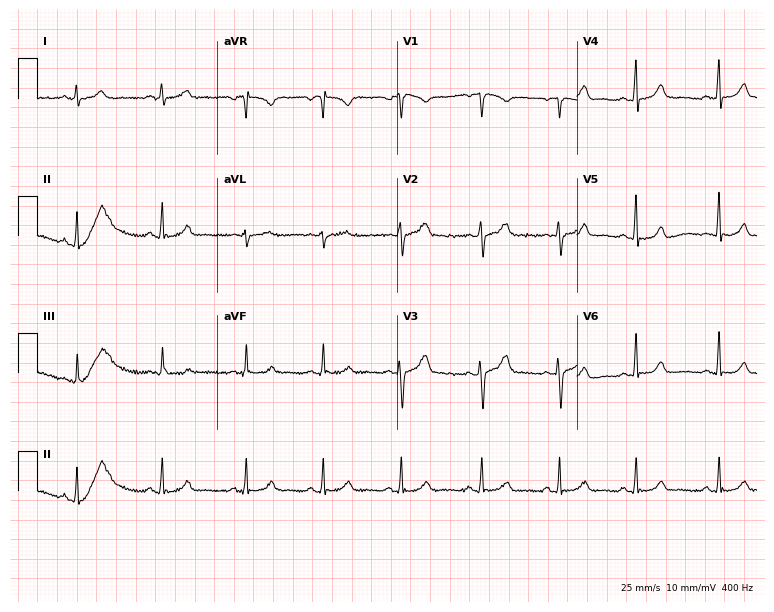
Electrocardiogram (7.3-second recording at 400 Hz), a female patient, 25 years old. Of the six screened findings (first-degree AV block, right bundle branch block, left bundle branch block, sinus bradycardia, atrial fibrillation, sinus tachycardia), none is recorded. Only these six findings were labelled.